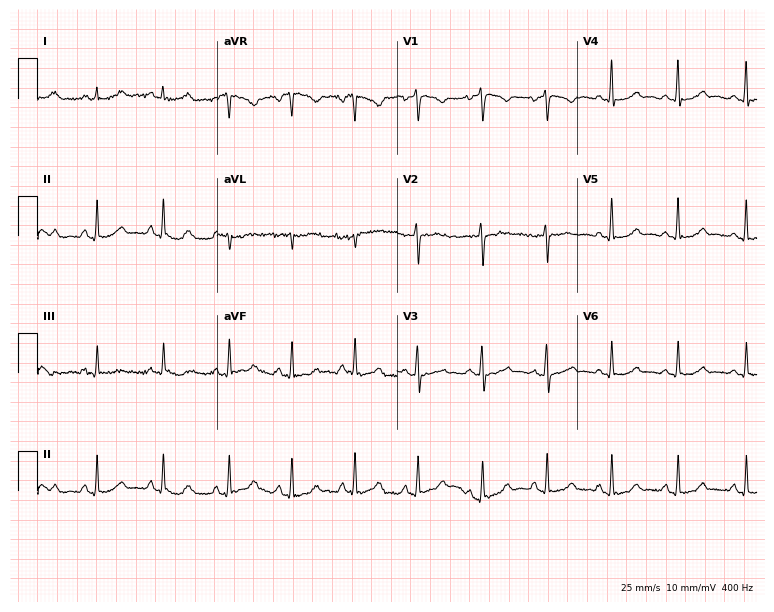
Electrocardiogram, a 35-year-old female. Of the six screened findings (first-degree AV block, right bundle branch block, left bundle branch block, sinus bradycardia, atrial fibrillation, sinus tachycardia), none is recorded.